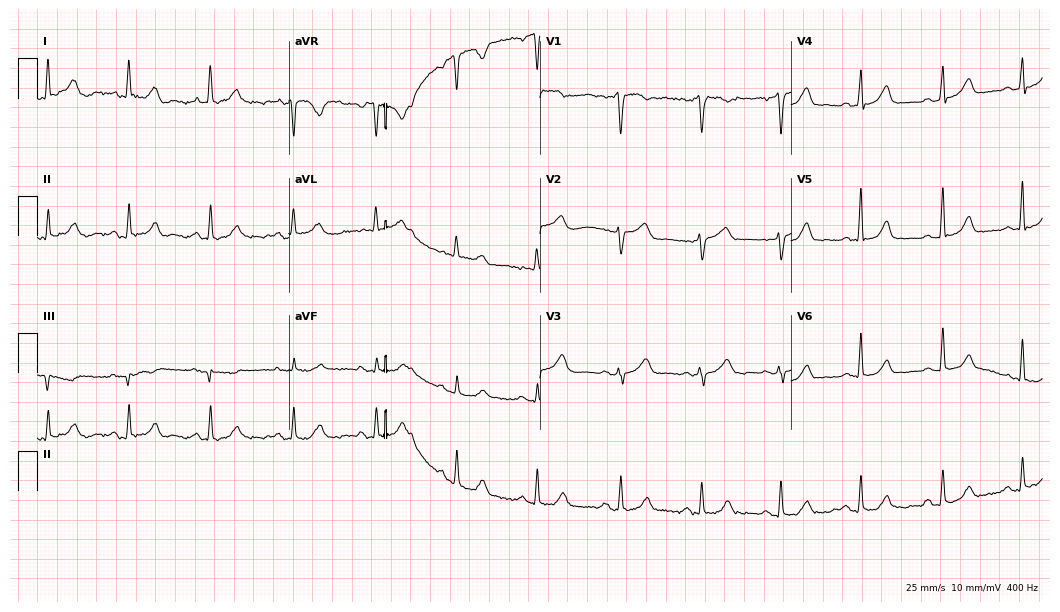
Standard 12-lead ECG recorded from a 57-year-old female patient (10.2-second recording at 400 Hz). Read as a normal ECG.